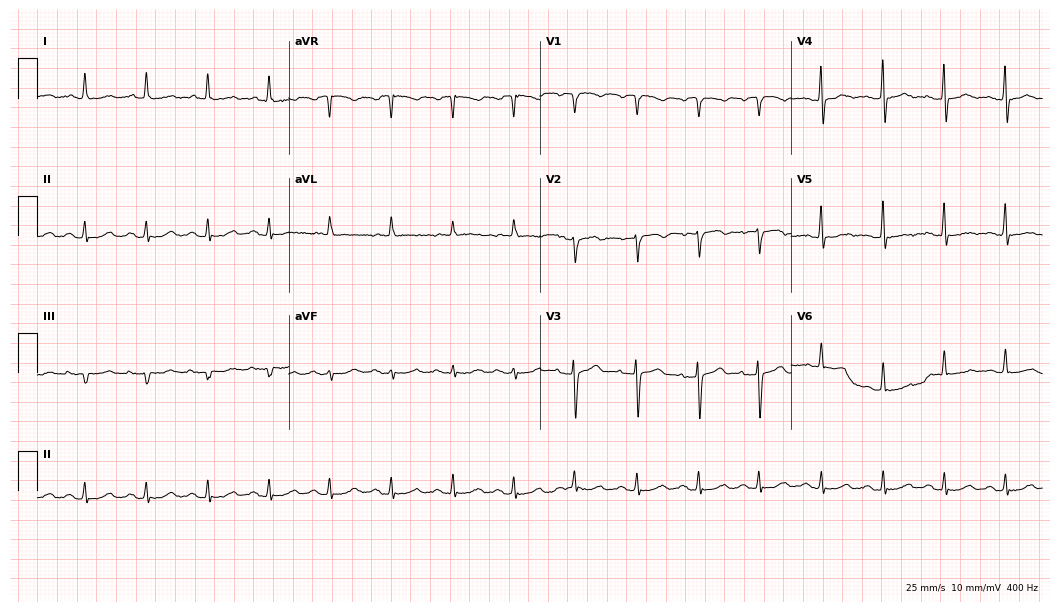
ECG (10.2-second recording at 400 Hz) — a 48-year-old female. Screened for six findings — first-degree AV block, right bundle branch block (RBBB), left bundle branch block (LBBB), sinus bradycardia, atrial fibrillation (AF), sinus tachycardia — none is recorded. Only these six findings were labelled.